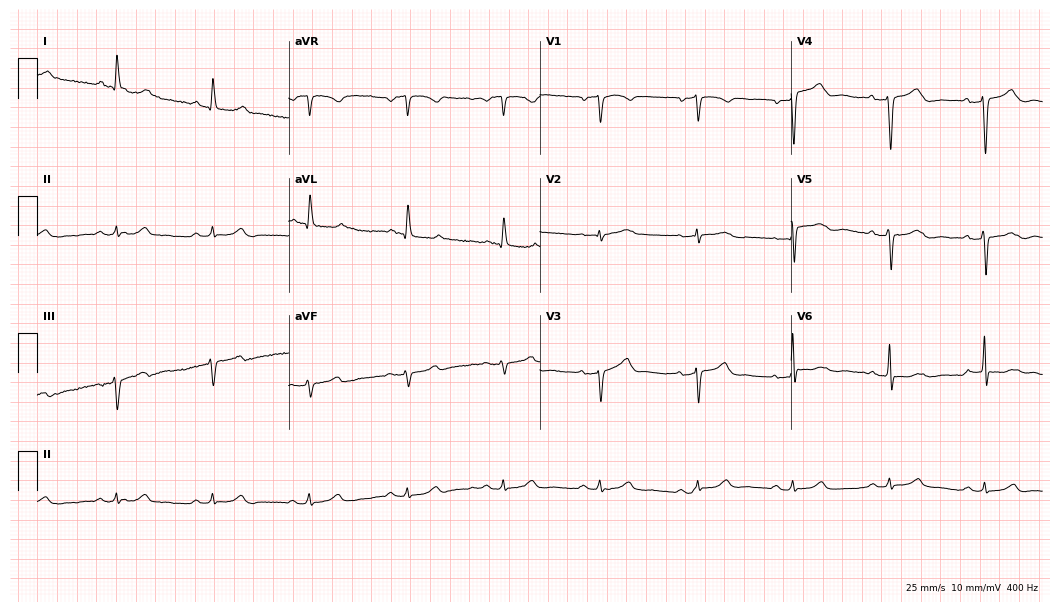
Standard 12-lead ECG recorded from a male, 76 years old (10.2-second recording at 400 Hz). None of these six findings is recorded: first-degree AV block, right bundle branch block, left bundle branch block, sinus bradycardia, atrial fibrillation, sinus tachycardia. Other findings, if any, are not listed.